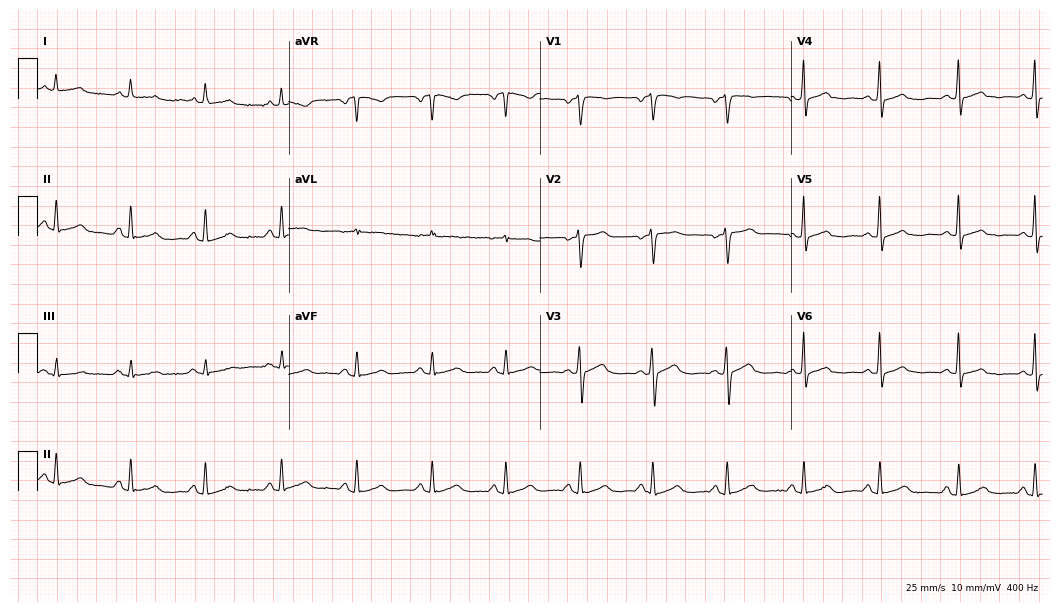
Resting 12-lead electrocardiogram (10.2-second recording at 400 Hz). Patient: a female, 36 years old. Read as a normal ECG.